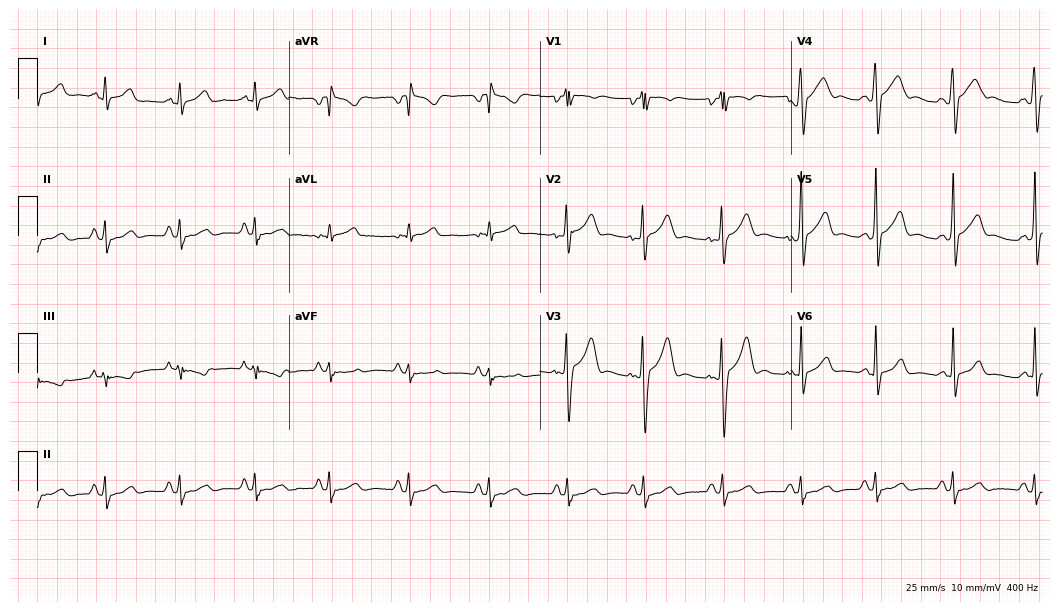
Electrocardiogram, a 17-year-old male patient. Overall reading on record: normal ECG.